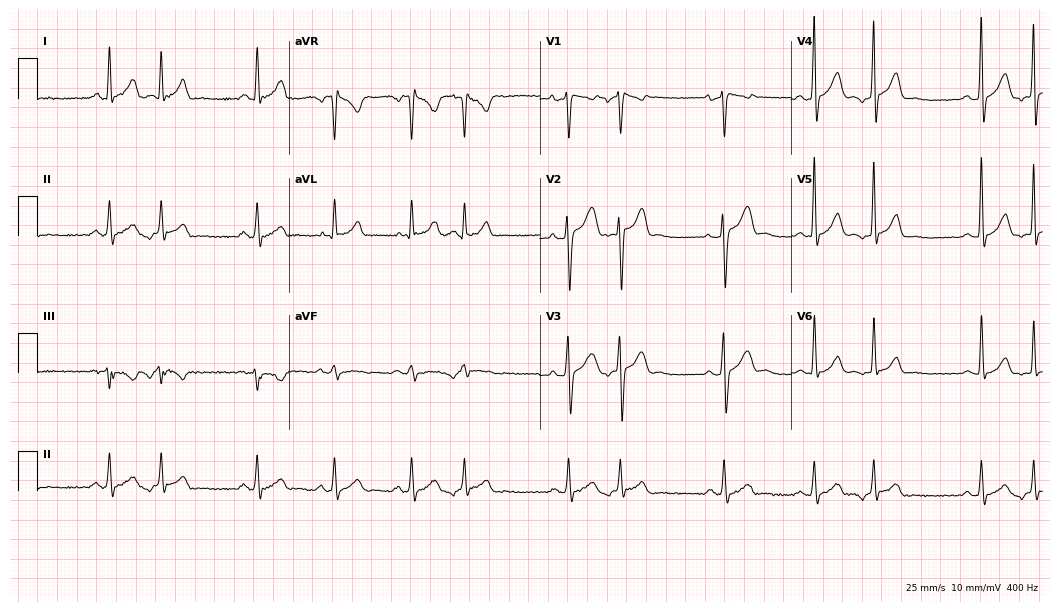
12-lead ECG from a 36-year-old man. No first-degree AV block, right bundle branch block, left bundle branch block, sinus bradycardia, atrial fibrillation or sinus tachycardia recorded for this tracing. Only these six findings were labelled.